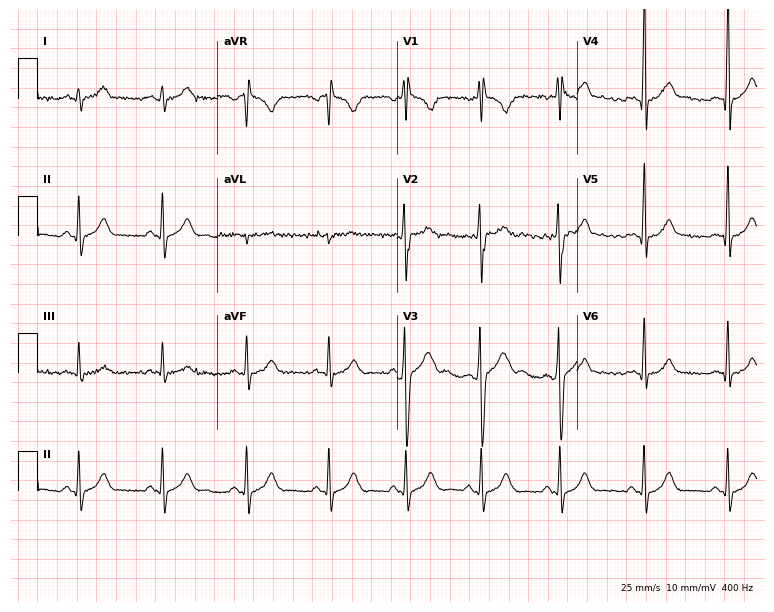
12-lead ECG from an 18-year-old man (7.3-second recording at 400 Hz). No first-degree AV block, right bundle branch block, left bundle branch block, sinus bradycardia, atrial fibrillation or sinus tachycardia recorded for this tracing.